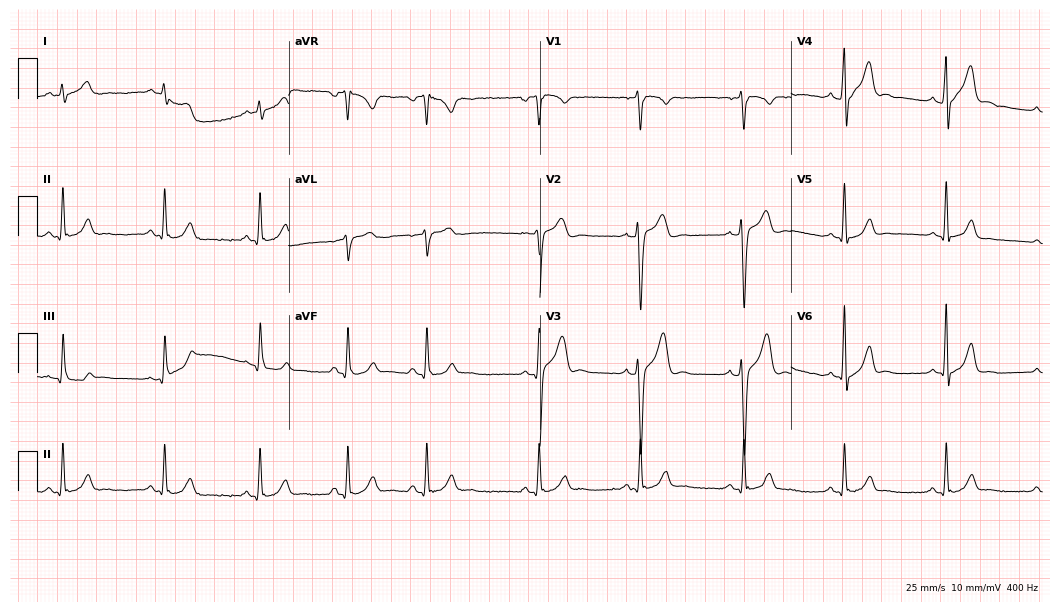
12-lead ECG from an 18-year-old male patient. Recorded interpretation: within normal limits.